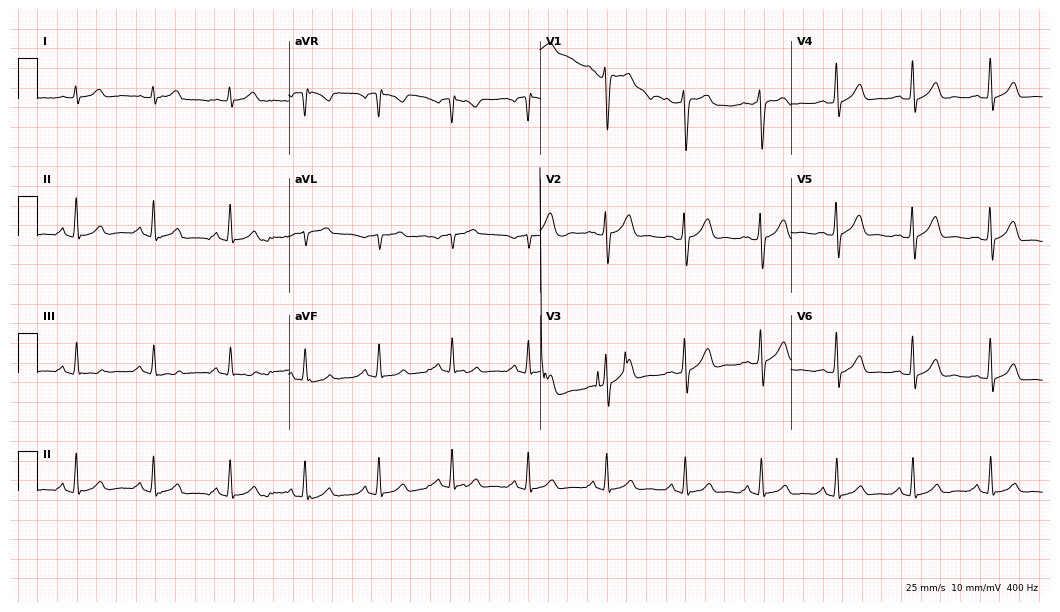
ECG — a 40-year-old man. Screened for six findings — first-degree AV block, right bundle branch block, left bundle branch block, sinus bradycardia, atrial fibrillation, sinus tachycardia — none is recorded. Findings outside these six are not listed.